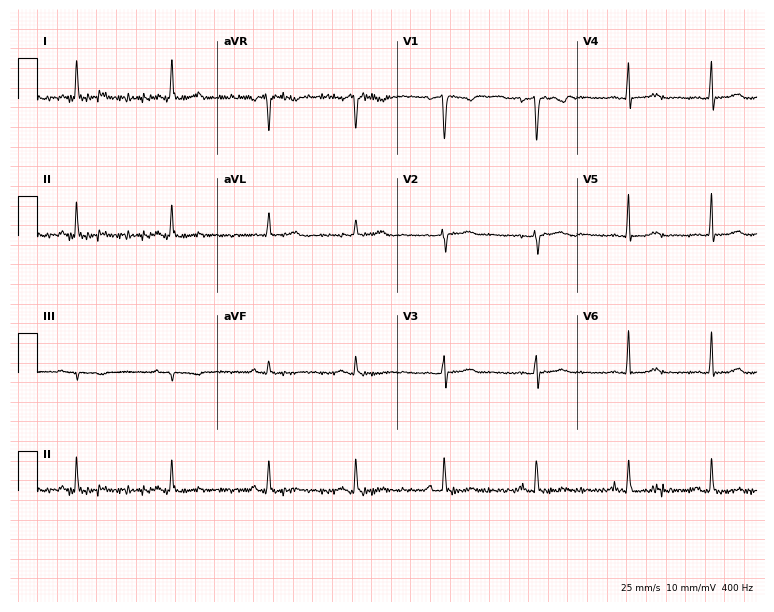
12-lead ECG from a woman, 42 years old (7.3-second recording at 400 Hz). No first-degree AV block, right bundle branch block, left bundle branch block, sinus bradycardia, atrial fibrillation or sinus tachycardia recorded for this tracing.